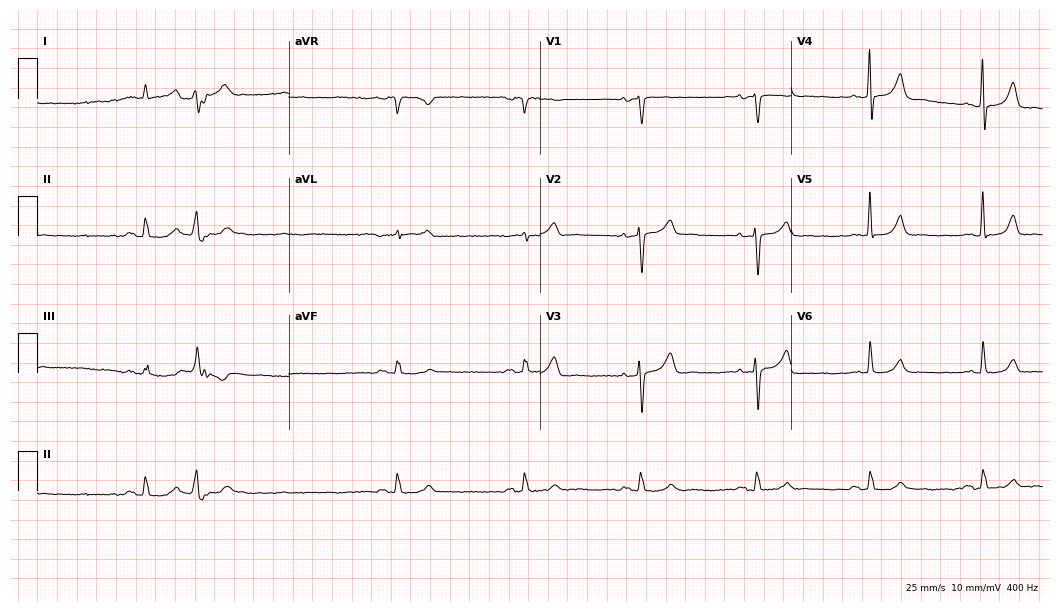
Standard 12-lead ECG recorded from an 84-year-old male. None of these six findings is recorded: first-degree AV block, right bundle branch block (RBBB), left bundle branch block (LBBB), sinus bradycardia, atrial fibrillation (AF), sinus tachycardia. Only these six findings were labelled.